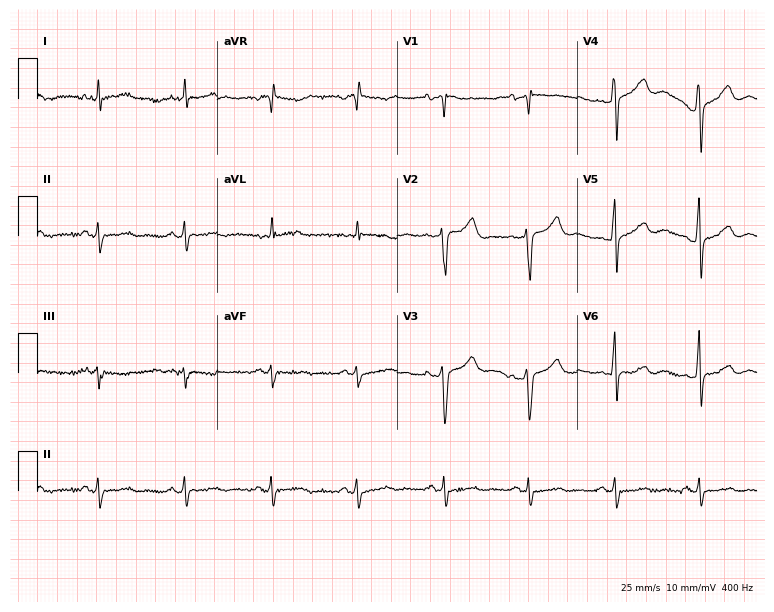
12-lead ECG (7.3-second recording at 400 Hz) from a 73-year-old man. Screened for six findings — first-degree AV block, right bundle branch block, left bundle branch block, sinus bradycardia, atrial fibrillation, sinus tachycardia — none is recorded.